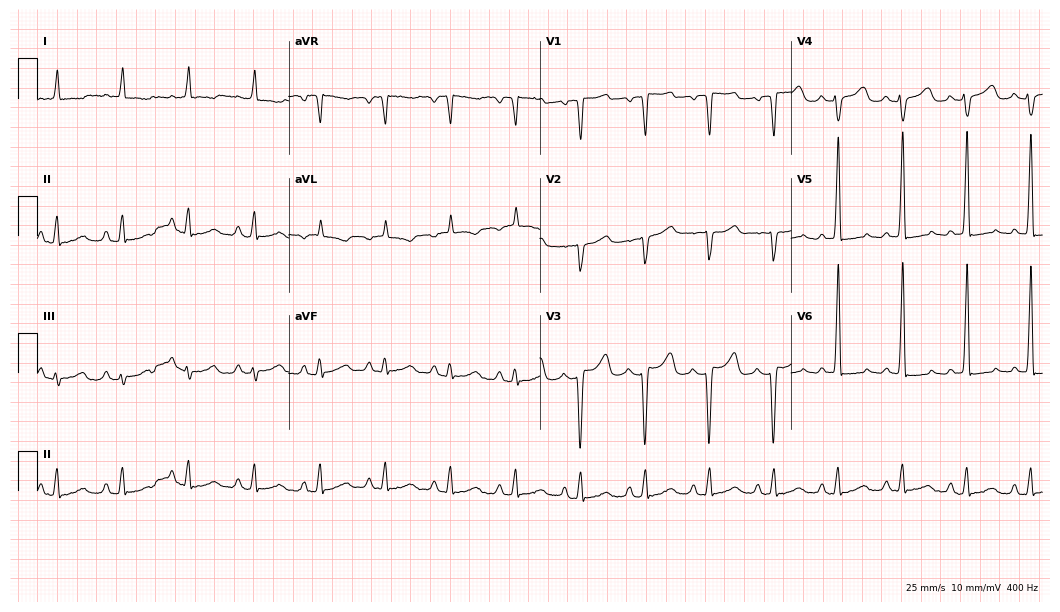
ECG — a 58-year-old female. Screened for six findings — first-degree AV block, right bundle branch block (RBBB), left bundle branch block (LBBB), sinus bradycardia, atrial fibrillation (AF), sinus tachycardia — none is recorded. Only these six findings were labelled.